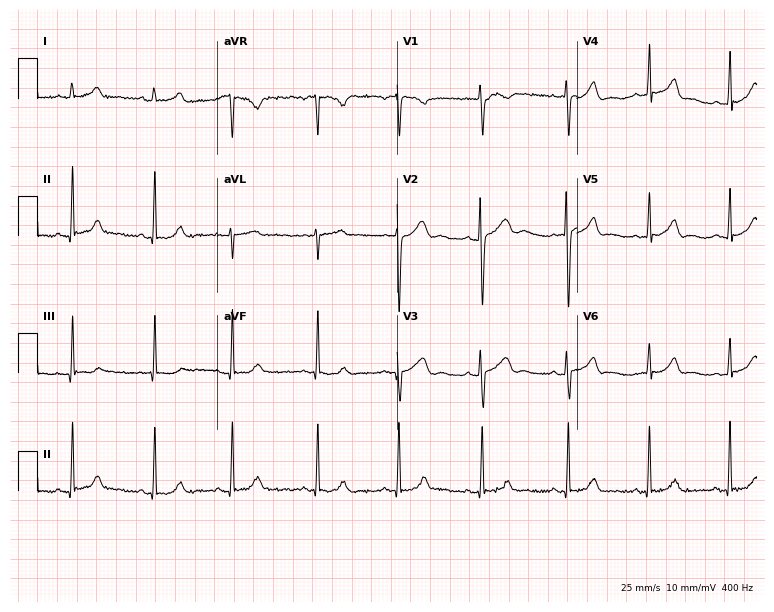
ECG — a woman, 17 years old. Screened for six findings — first-degree AV block, right bundle branch block (RBBB), left bundle branch block (LBBB), sinus bradycardia, atrial fibrillation (AF), sinus tachycardia — none is recorded. Other findings, if any, are not listed.